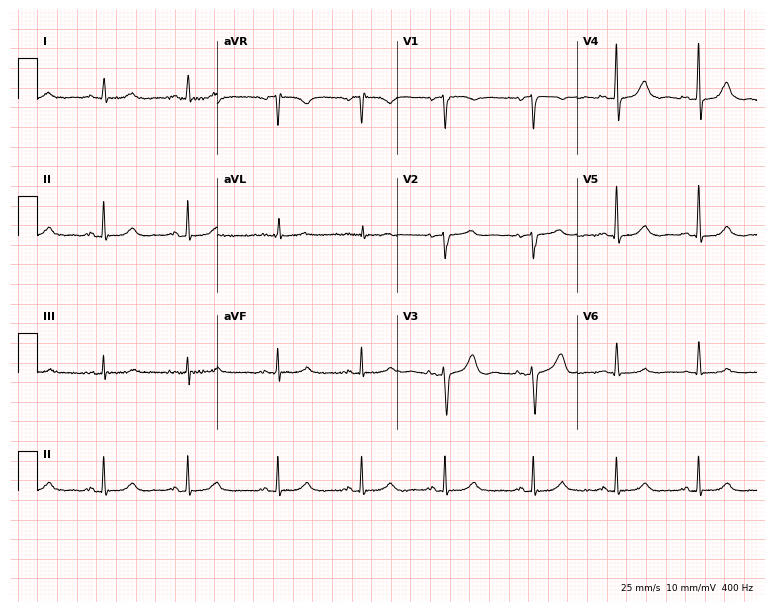
Electrocardiogram (7.3-second recording at 400 Hz), a woman, 60 years old. Overall reading on record: normal ECG.